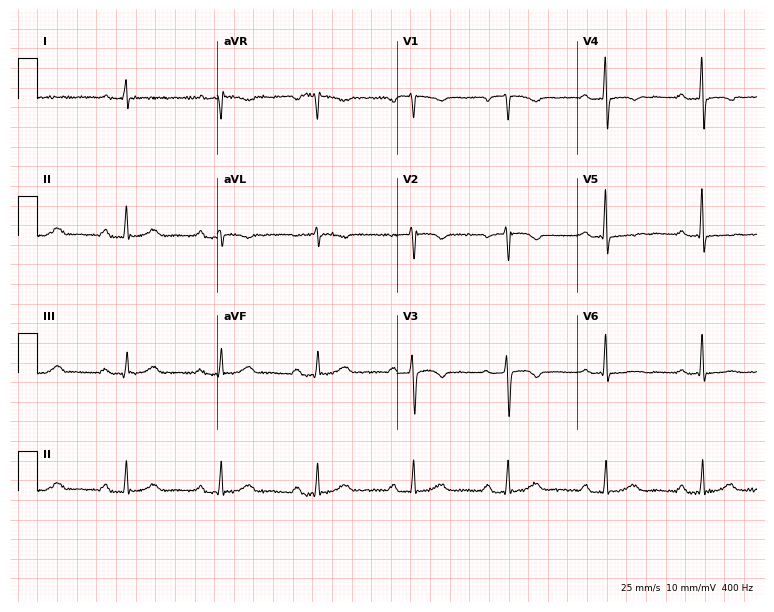
ECG — a 55-year-old female patient. Screened for six findings — first-degree AV block, right bundle branch block (RBBB), left bundle branch block (LBBB), sinus bradycardia, atrial fibrillation (AF), sinus tachycardia — none is recorded. Only these six findings were labelled.